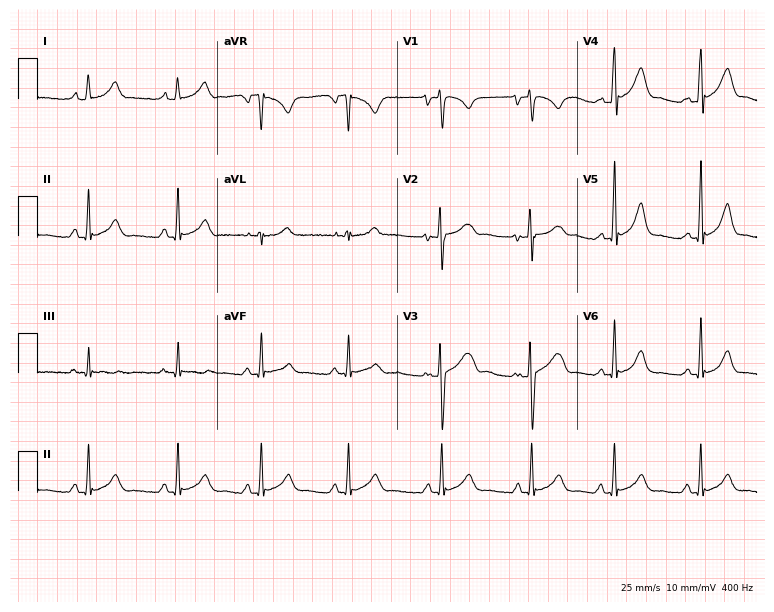
Standard 12-lead ECG recorded from a 25-year-old female patient (7.3-second recording at 400 Hz). Read as a normal ECG.